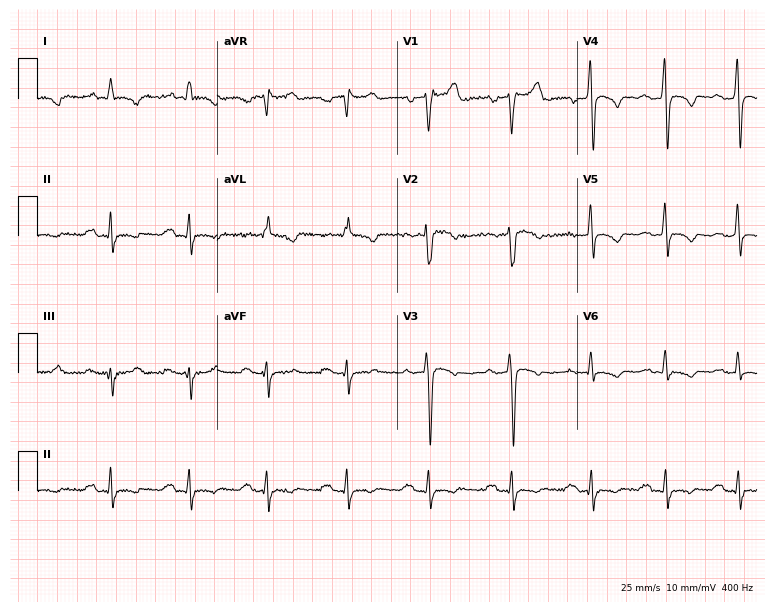
ECG (7.3-second recording at 400 Hz) — a 58-year-old male patient. Findings include first-degree AV block.